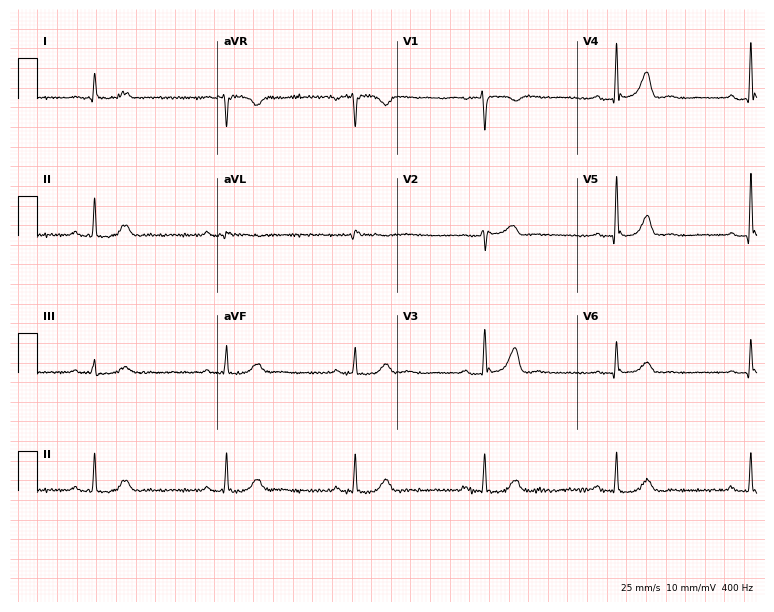
ECG — a 72-year-old man. Findings include sinus bradycardia (a sinus rate of 50 beats per minute or less).